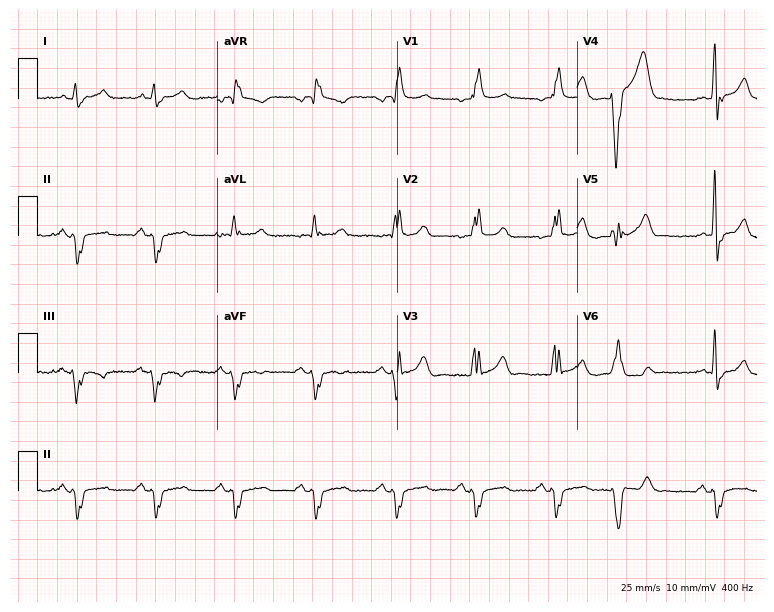
12-lead ECG from a 71-year-old man (7.3-second recording at 400 Hz). Shows right bundle branch block (RBBB).